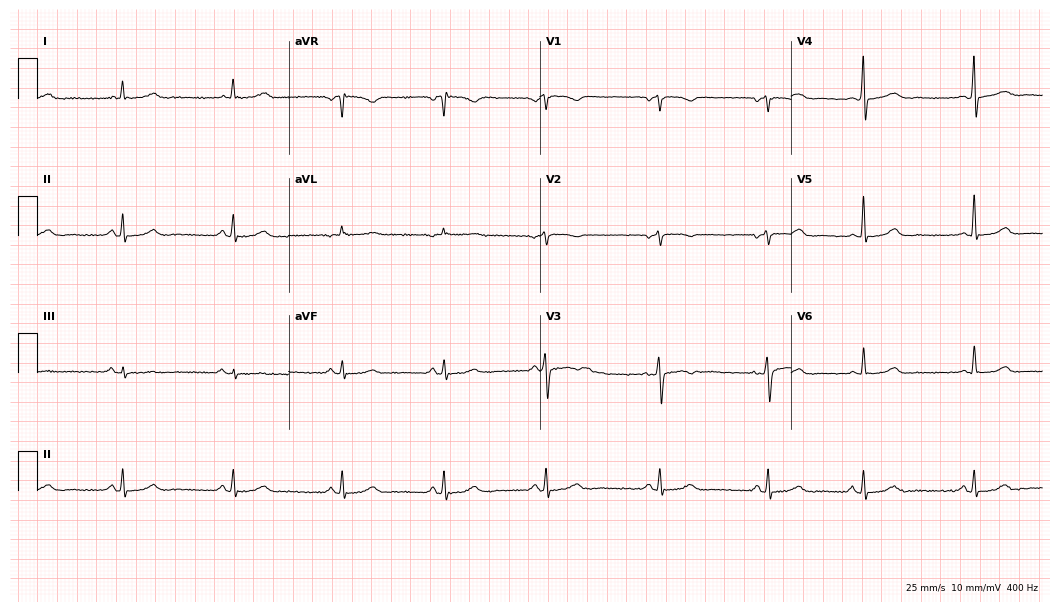
Electrocardiogram (10.2-second recording at 400 Hz), a woman, 56 years old. Overall reading on record: normal ECG.